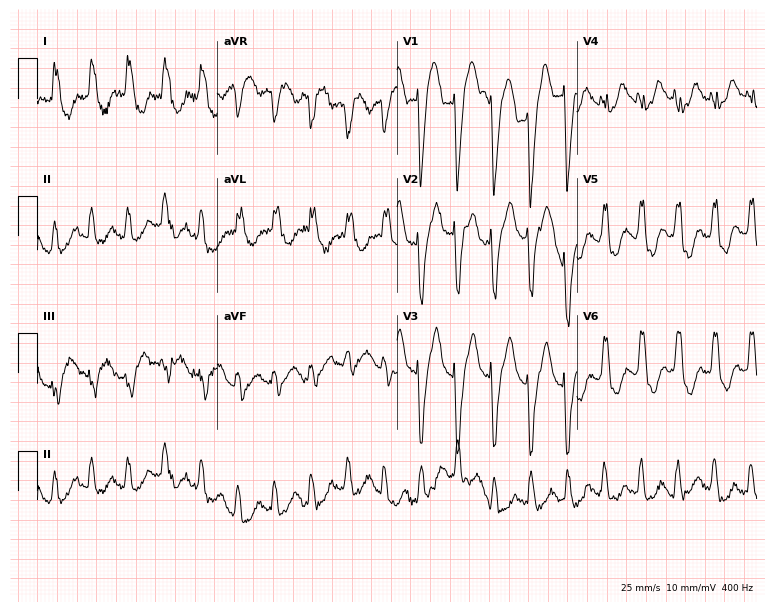
Resting 12-lead electrocardiogram (7.3-second recording at 400 Hz). Patient: a female, 60 years old. The tracing shows left bundle branch block.